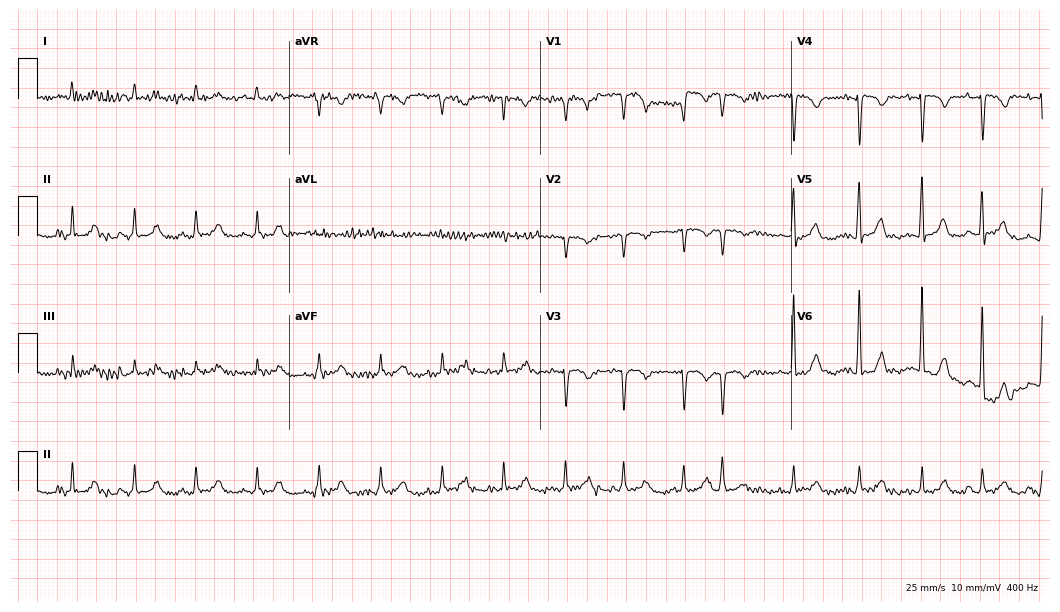
Standard 12-lead ECG recorded from a female patient, 85 years old. Read as a normal ECG.